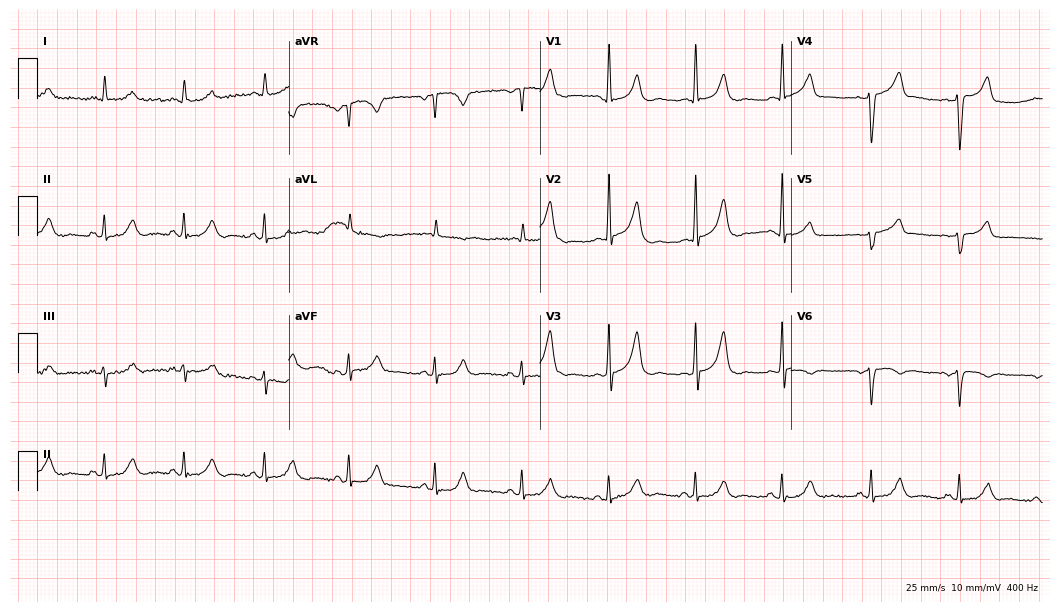
Standard 12-lead ECG recorded from a 23-year-old female patient. None of these six findings is recorded: first-degree AV block, right bundle branch block, left bundle branch block, sinus bradycardia, atrial fibrillation, sinus tachycardia.